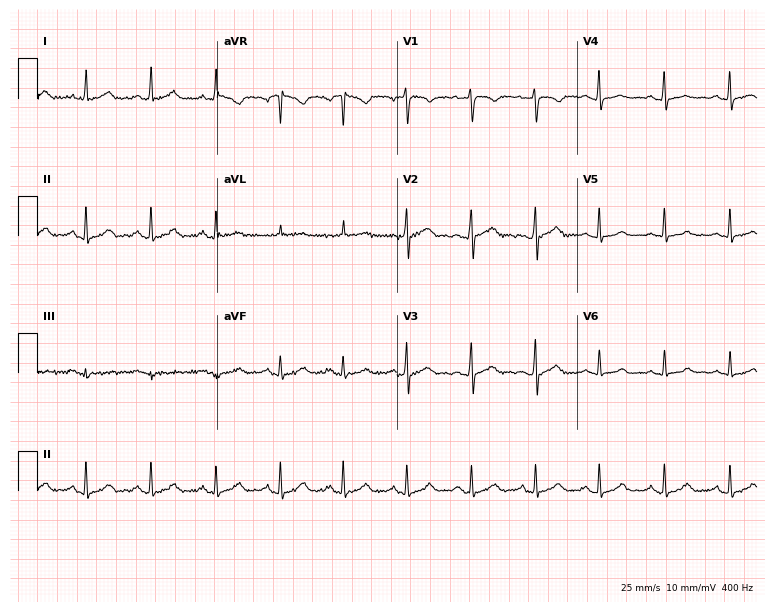
12-lead ECG (7.3-second recording at 400 Hz) from a 38-year-old female. Labelled as a normal ECG.